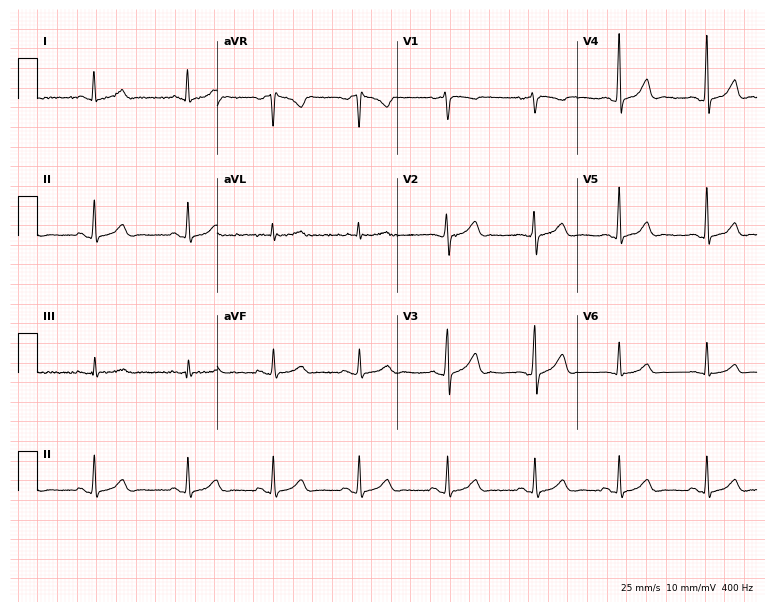
ECG — a woman, 30 years old. Labelled as a normal ECG.